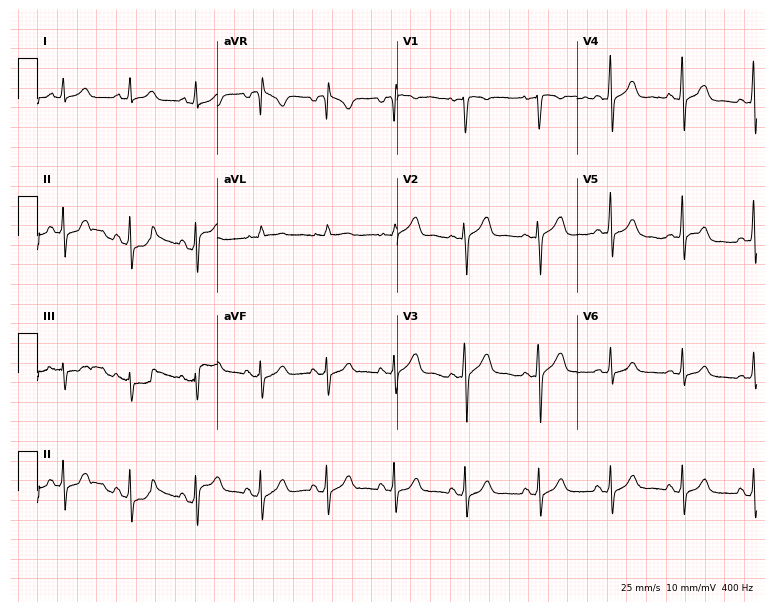
ECG (7.3-second recording at 400 Hz) — a woman, 33 years old. Labelled as a normal ECG.